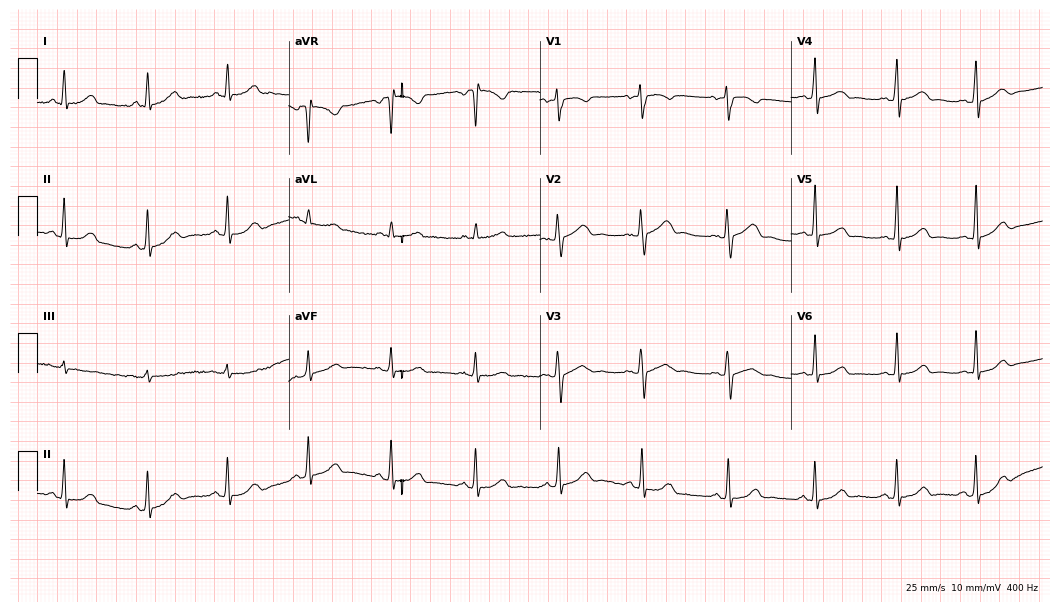
12-lead ECG from a female, 24 years old. Labelled as a normal ECG.